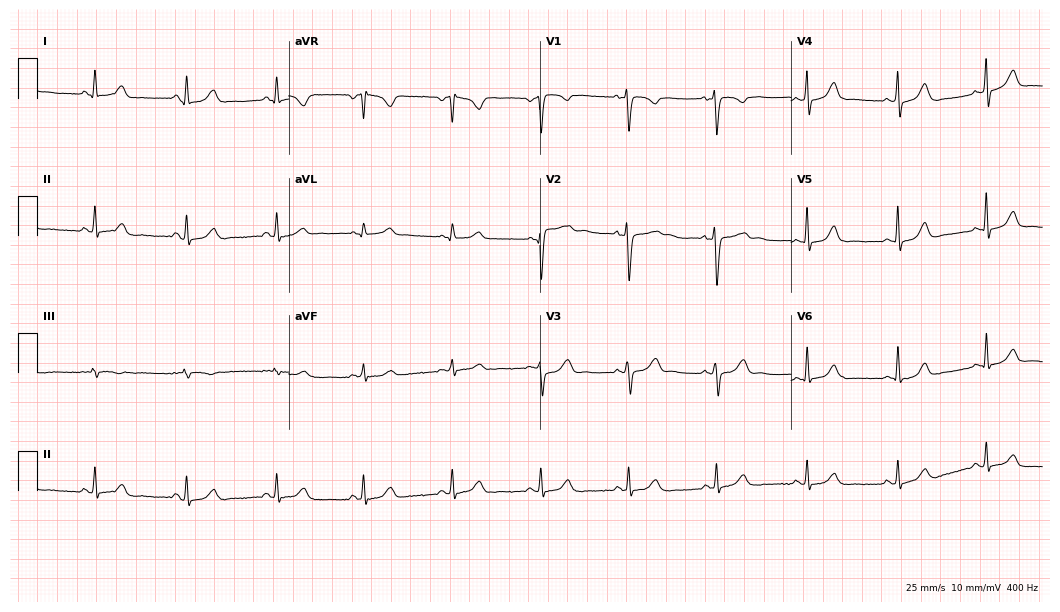
12-lead ECG from a 49-year-old woman. Recorded interpretation: within normal limits.